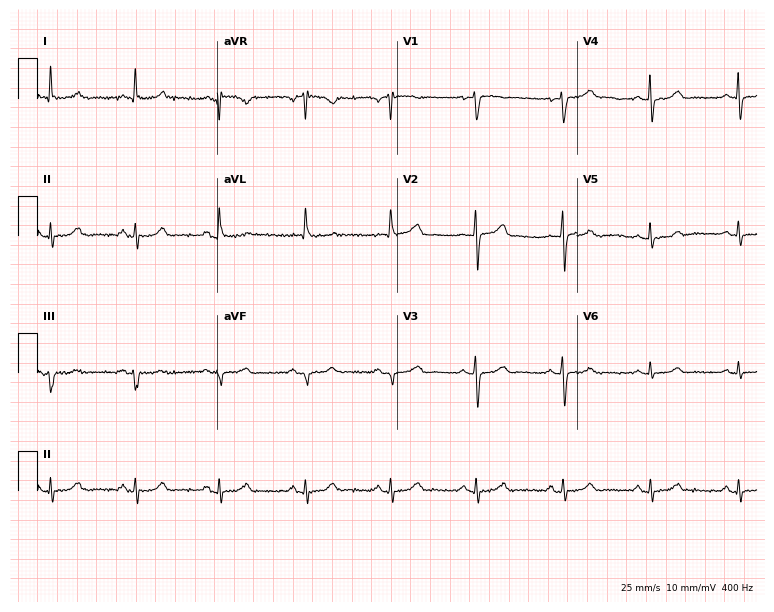
Resting 12-lead electrocardiogram. Patient: a 70-year-old female. Read as a normal ECG.